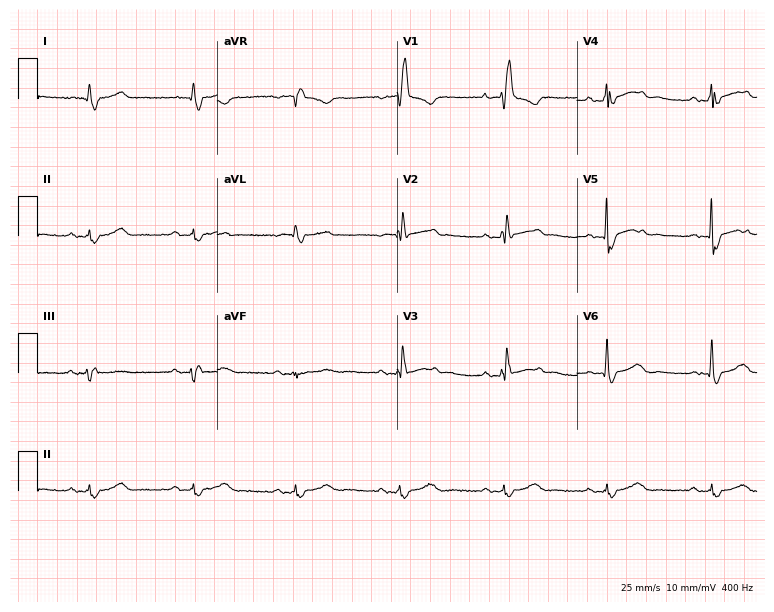
12-lead ECG from a 63-year-old man (7.3-second recording at 400 Hz). Shows right bundle branch block (RBBB).